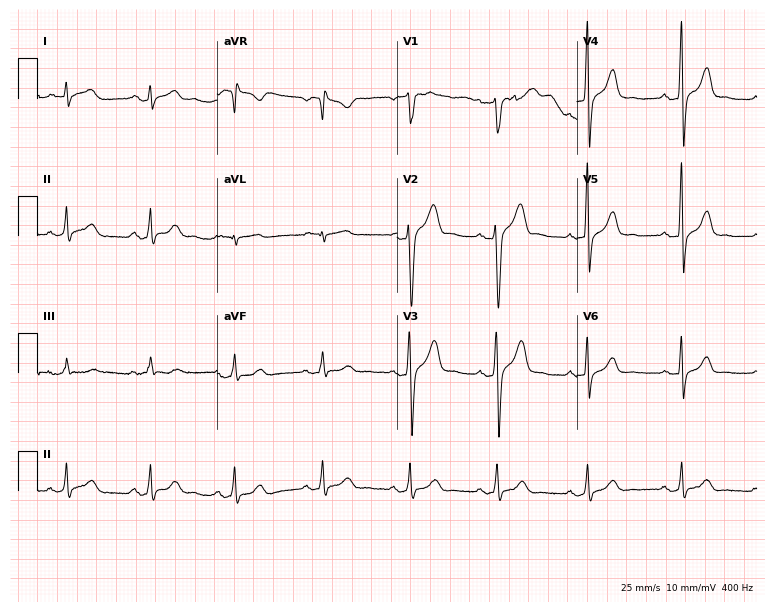
12-lead ECG (7.3-second recording at 400 Hz) from an 18-year-old male. Labelled as a normal ECG.